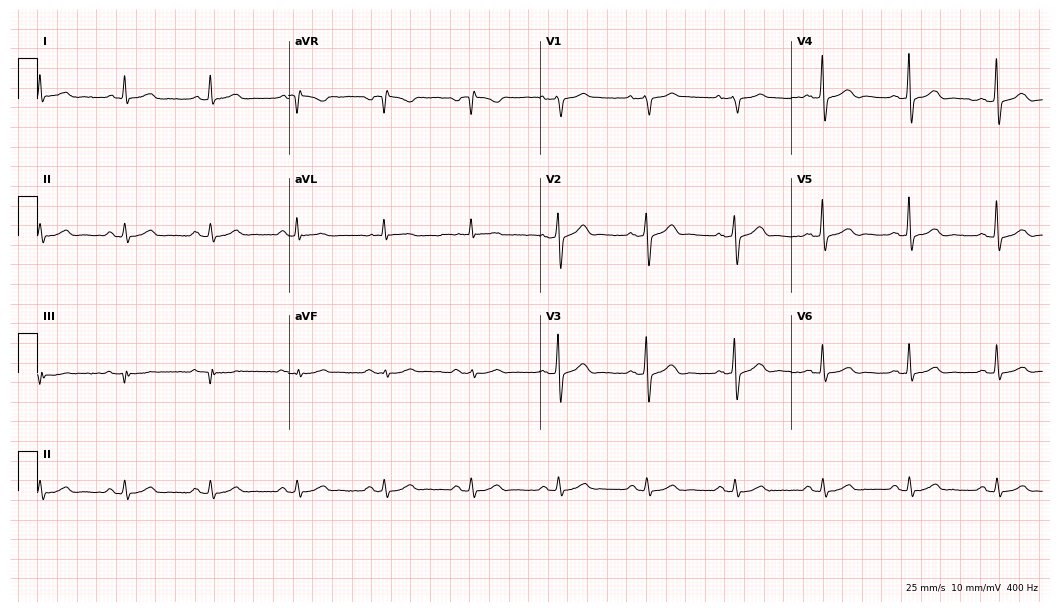
Standard 12-lead ECG recorded from a male patient, 70 years old. Read as a normal ECG.